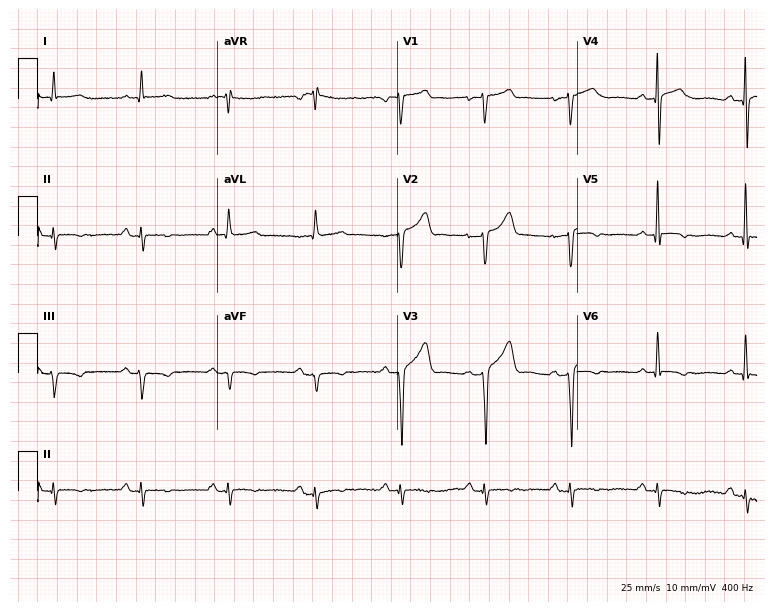
12-lead ECG from a 66-year-old male patient (7.3-second recording at 400 Hz). No first-degree AV block, right bundle branch block, left bundle branch block, sinus bradycardia, atrial fibrillation or sinus tachycardia recorded for this tracing.